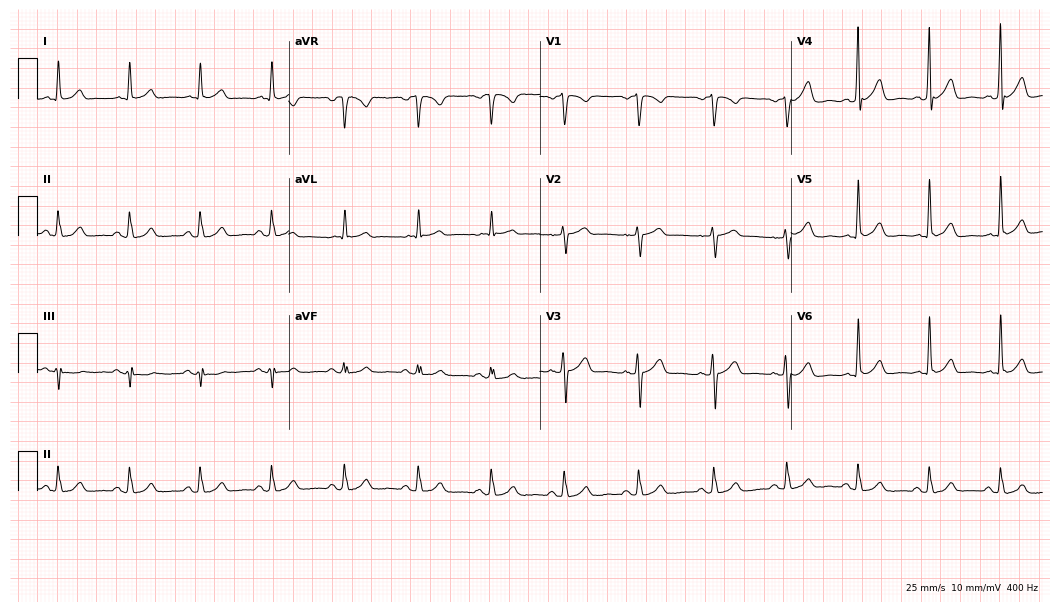
12-lead ECG from a male, 55 years old (10.2-second recording at 400 Hz). Recorded interpretation: within normal limits.